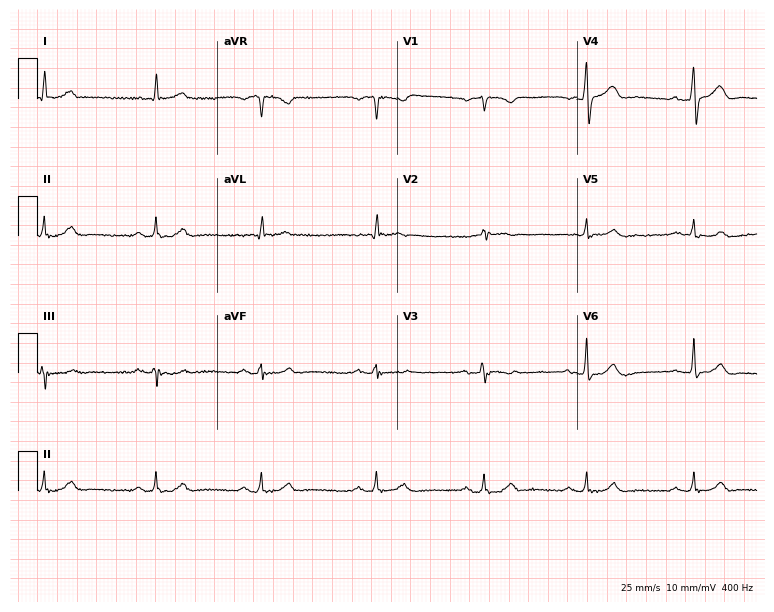
Resting 12-lead electrocardiogram (7.3-second recording at 400 Hz). Patient: a male, 64 years old. Read as a normal ECG.